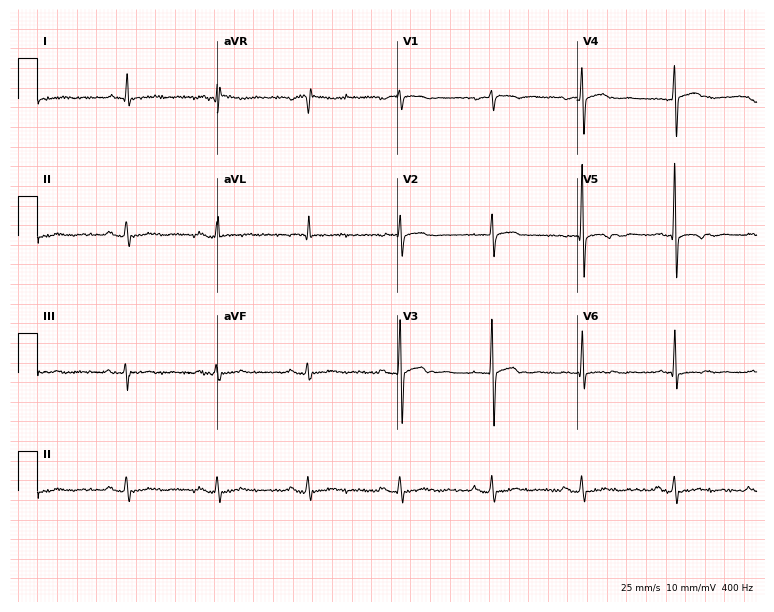
Standard 12-lead ECG recorded from a male patient, 85 years old (7.3-second recording at 400 Hz). None of these six findings is recorded: first-degree AV block, right bundle branch block, left bundle branch block, sinus bradycardia, atrial fibrillation, sinus tachycardia. Only these six findings were labelled.